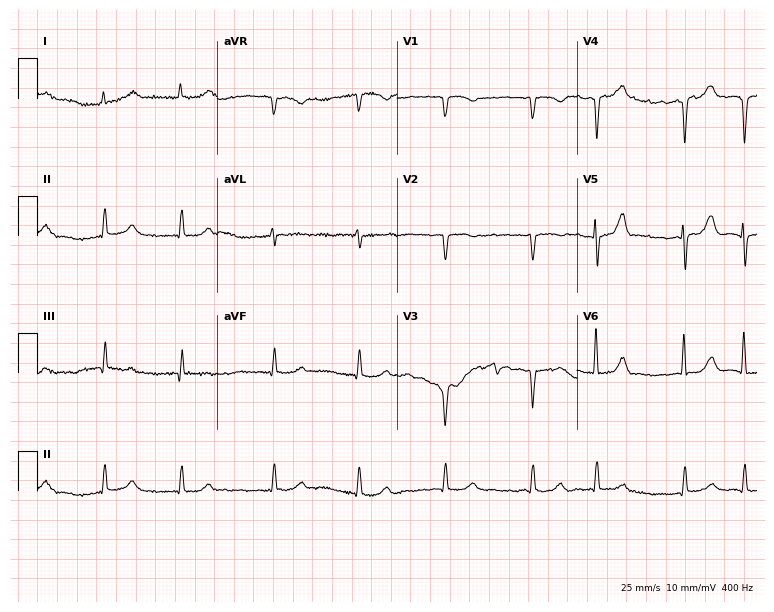
Resting 12-lead electrocardiogram (7.3-second recording at 400 Hz). Patient: a woman, 87 years old. None of these six findings is recorded: first-degree AV block, right bundle branch block, left bundle branch block, sinus bradycardia, atrial fibrillation, sinus tachycardia.